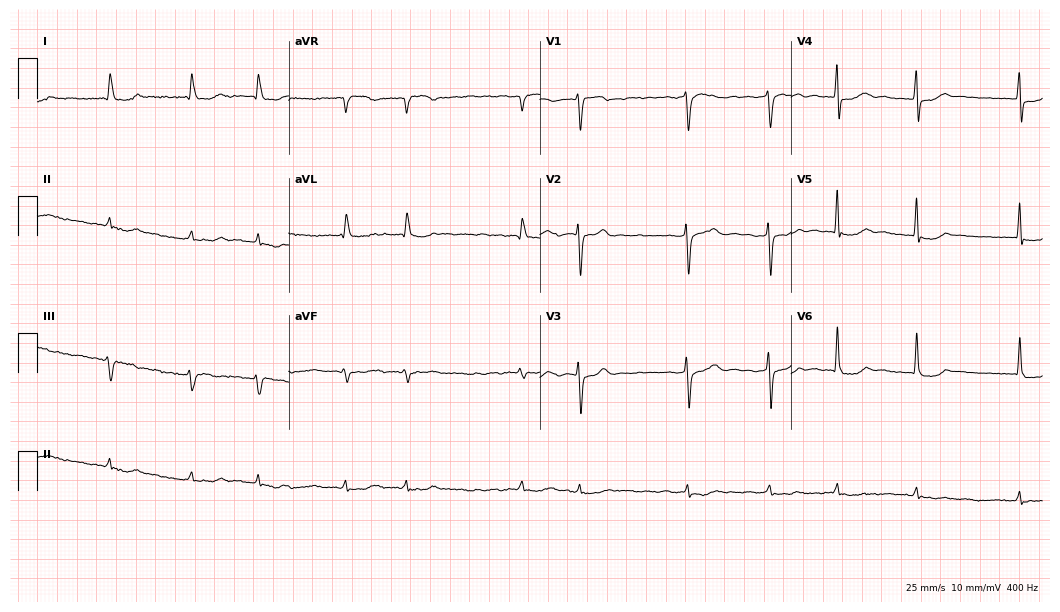
12-lead ECG (10.2-second recording at 400 Hz) from a 73-year-old woman. Findings include atrial fibrillation.